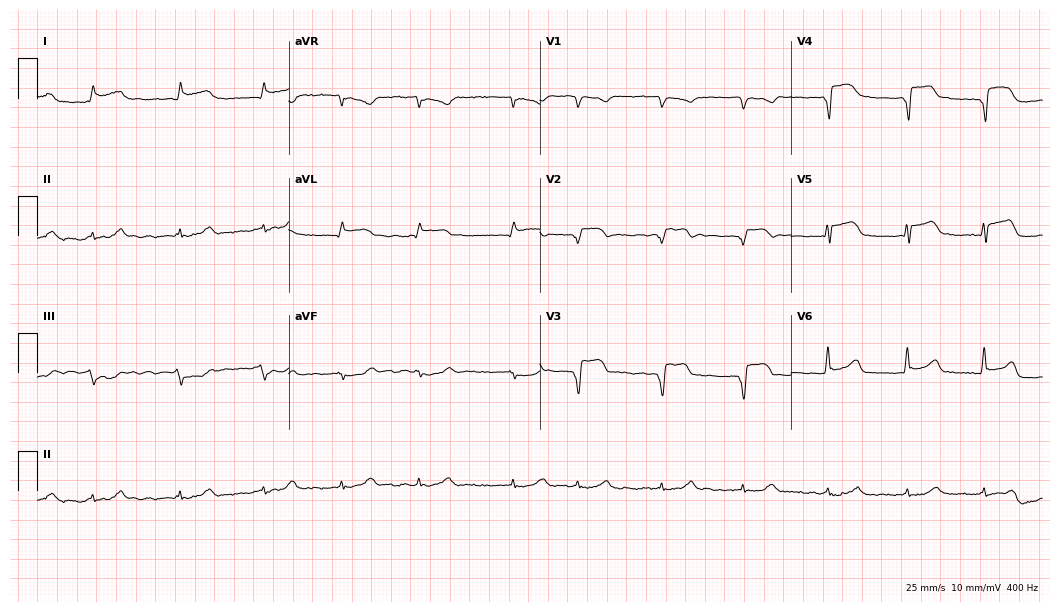
Electrocardiogram (10.2-second recording at 400 Hz), a man, 79 years old. Overall reading on record: normal ECG.